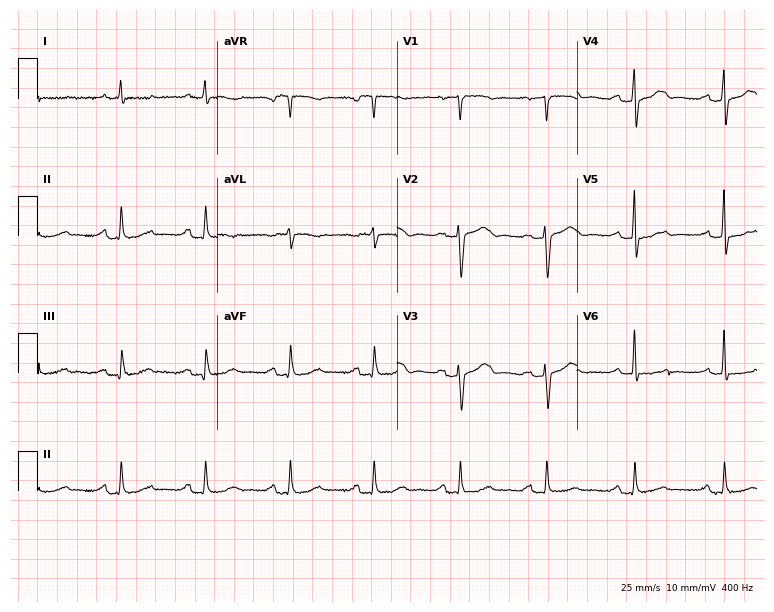
Standard 12-lead ECG recorded from a male patient, 74 years old (7.3-second recording at 400 Hz). None of these six findings is recorded: first-degree AV block, right bundle branch block, left bundle branch block, sinus bradycardia, atrial fibrillation, sinus tachycardia.